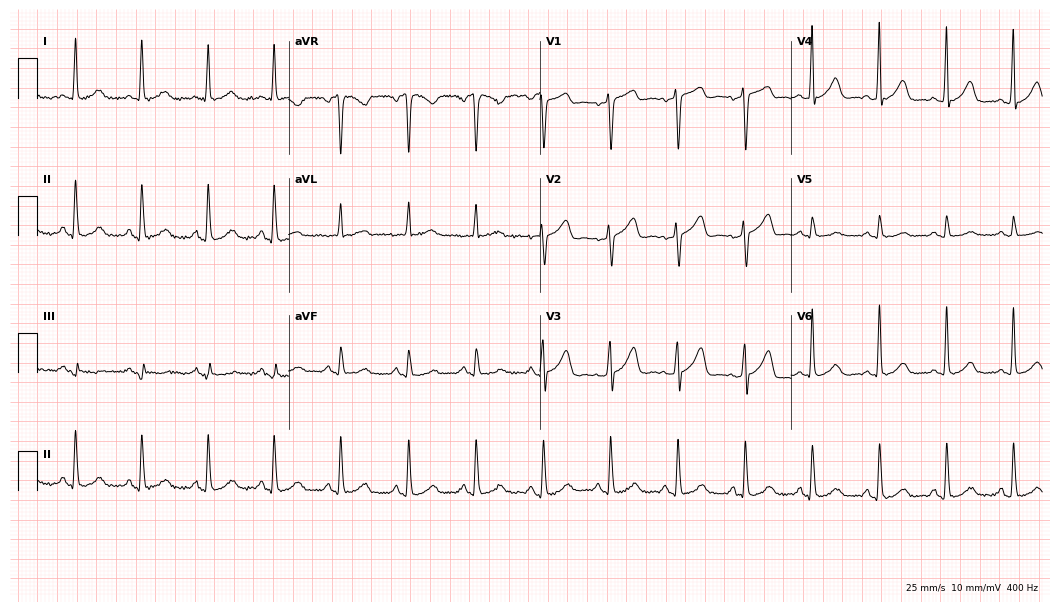
Standard 12-lead ECG recorded from a female, 74 years old. Read as a normal ECG.